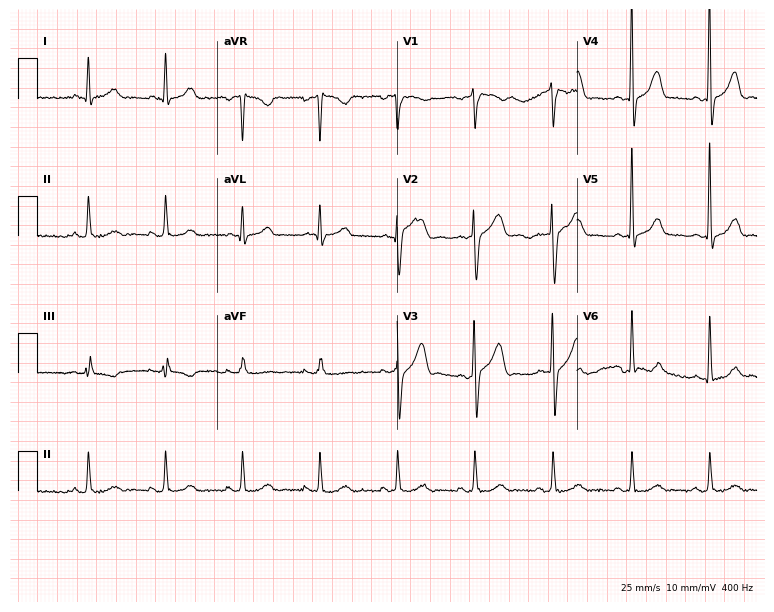
Standard 12-lead ECG recorded from a 60-year-old man (7.3-second recording at 400 Hz). Read as a normal ECG.